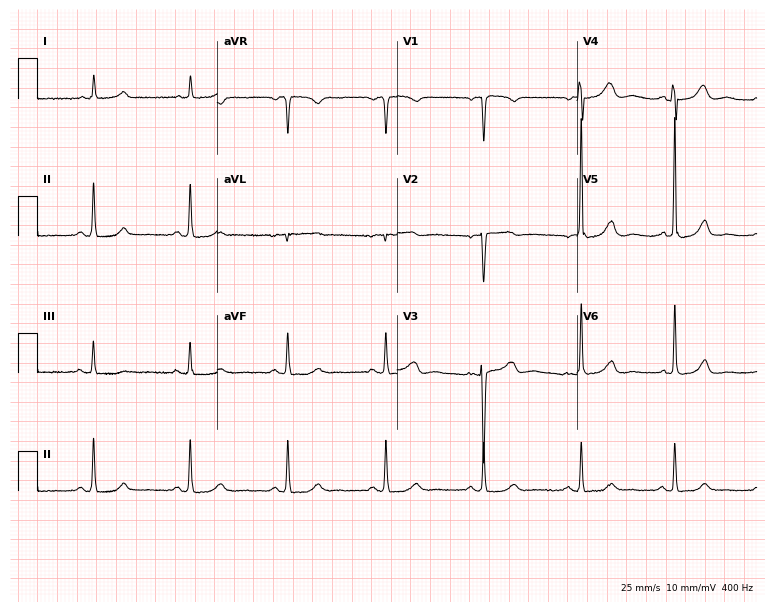
ECG — a female, 77 years old. Screened for six findings — first-degree AV block, right bundle branch block (RBBB), left bundle branch block (LBBB), sinus bradycardia, atrial fibrillation (AF), sinus tachycardia — none is recorded. Findings outside these six are not listed.